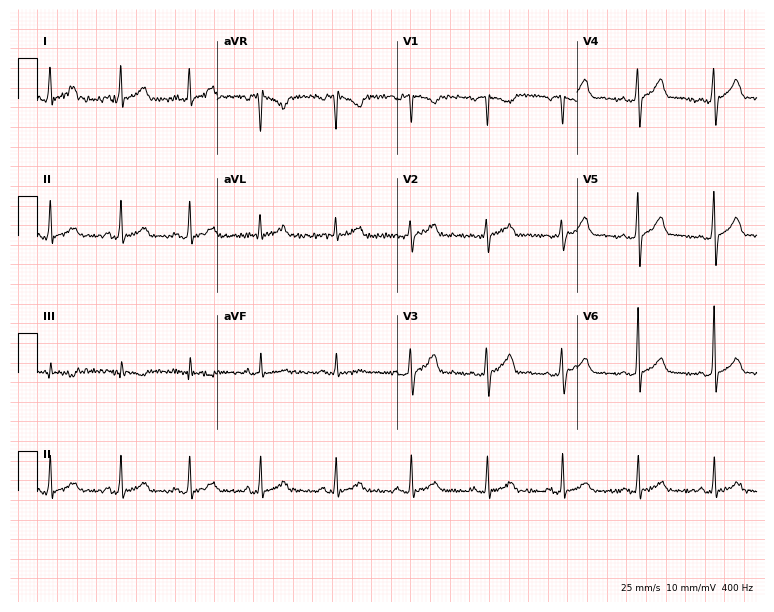
Resting 12-lead electrocardiogram (7.3-second recording at 400 Hz). Patient: a male, 30 years old. Read as a normal ECG.